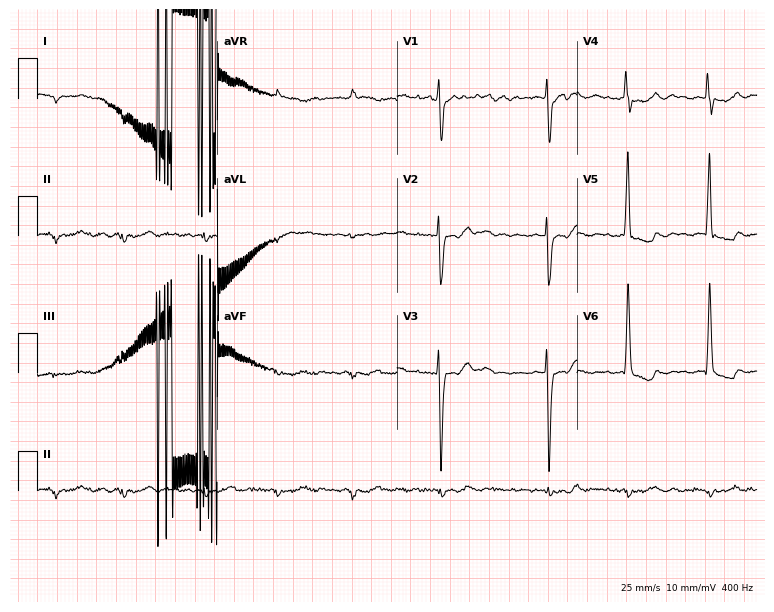
Standard 12-lead ECG recorded from a 73-year-old man. None of these six findings is recorded: first-degree AV block, right bundle branch block, left bundle branch block, sinus bradycardia, atrial fibrillation, sinus tachycardia. Other findings, if any, are not listed.